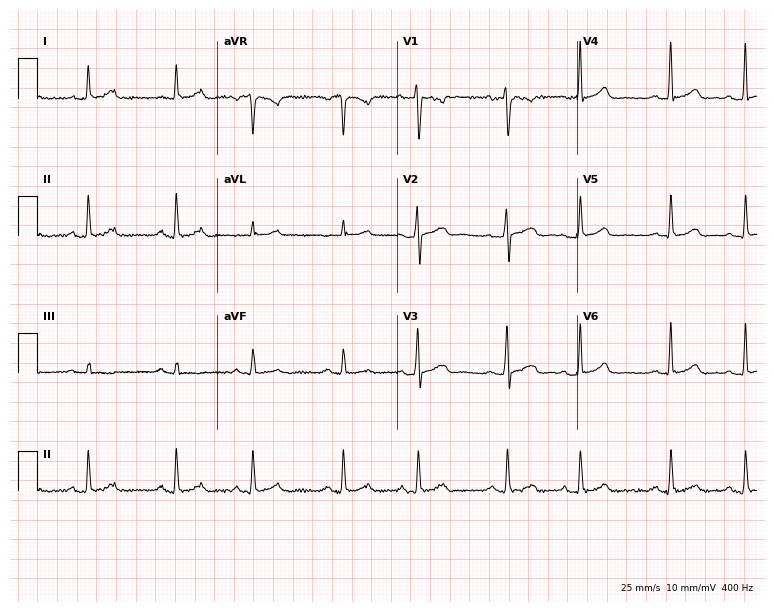
12-lead ECG from a 34-year-old woman. No first-degree AV block, right bundle branch block, left bundle branch block, sinus bradycardia, atrial fibrillation or sinus tachycardia recorded for this tracing.